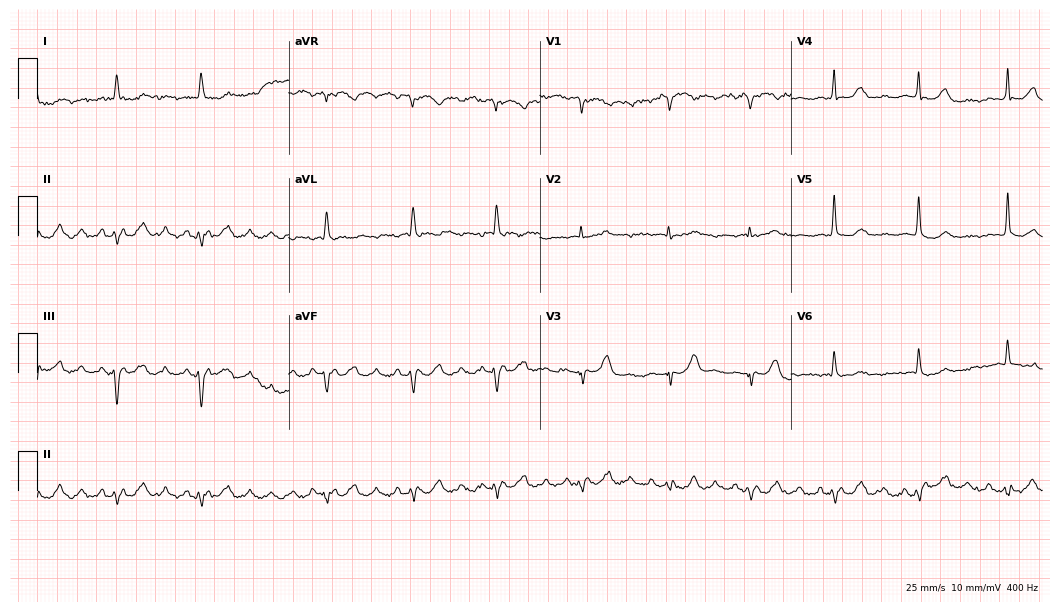
12-lead ECG from a male patient, 81 years old. Findings include atrial fibrillation.